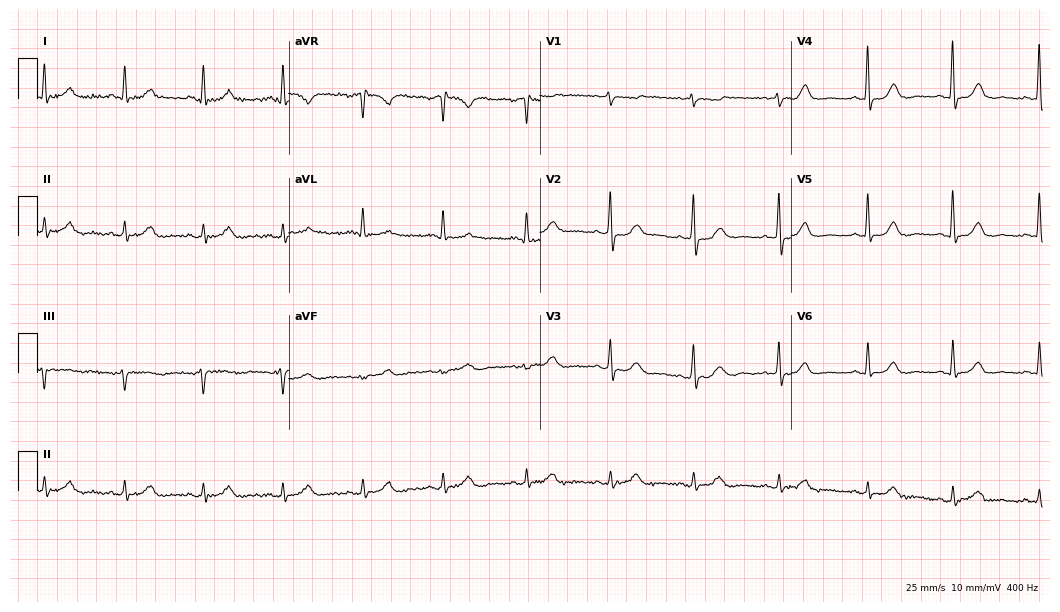
Resting 12-lead electrocardiogram (10.2-second recording at 400 Hz). Patient: a 74-year-old female. Read as a normal ECG.